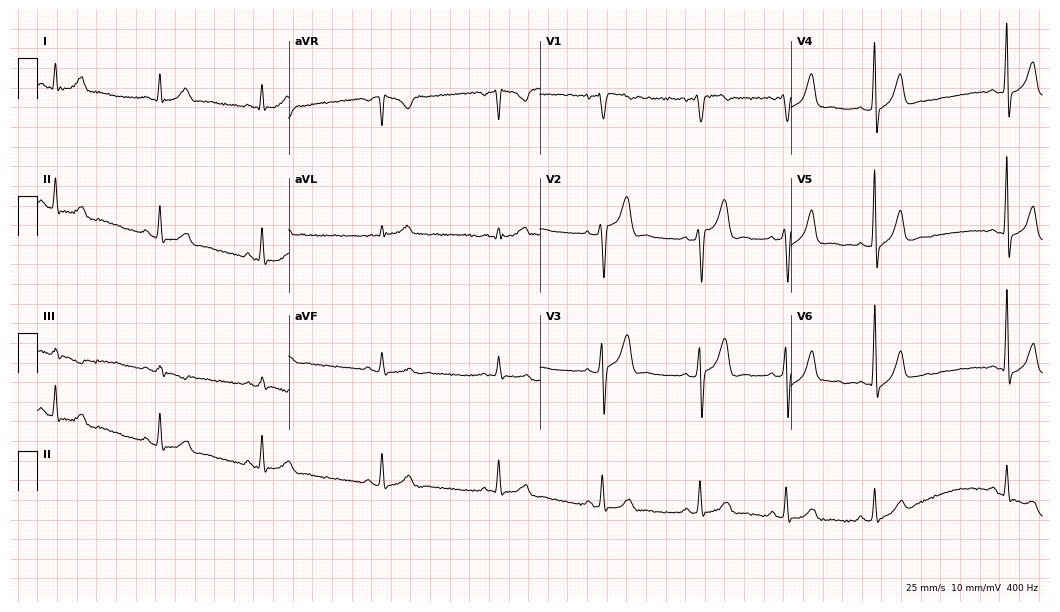
12-lead ECG from a male, 38 years old. Recorded interpretation: within normal limits.